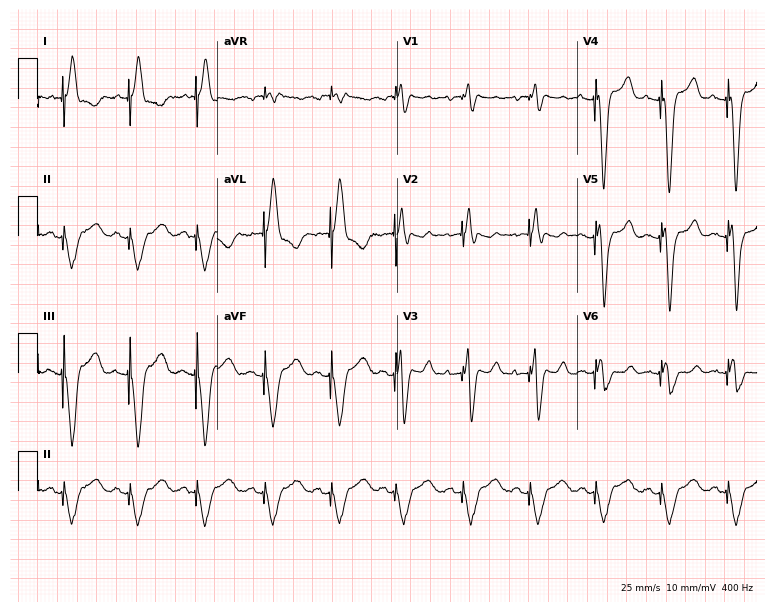
ECG — a female patient, 68 years old. Screened for six findings — first-degree AV block, right bundle branch block (RBBB), left bundle branch block (LBBB), sinus bradycardia, atrial fibrillation (AF), sinus tachycardia — none is recorded. Other findings, if any, are not listed.